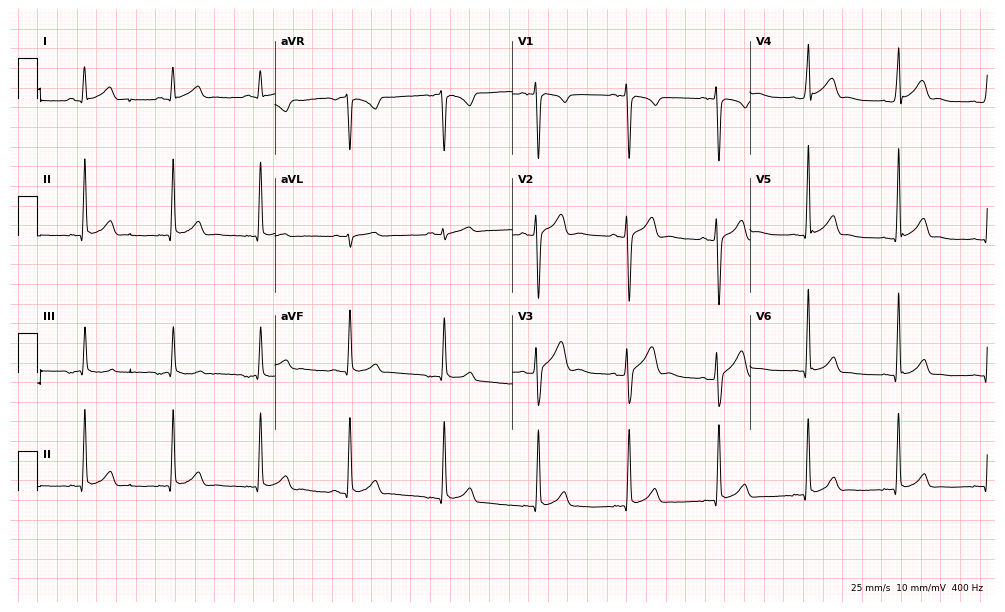
12-lead ECG from a female, 28 years old. No first-degree AV block, right bundle branch block (RBBB), left bundle branch block (LBBB), sinus bradycardia, atrial fibrillation (AF) or sinus tachycardia recorded for this tracing.